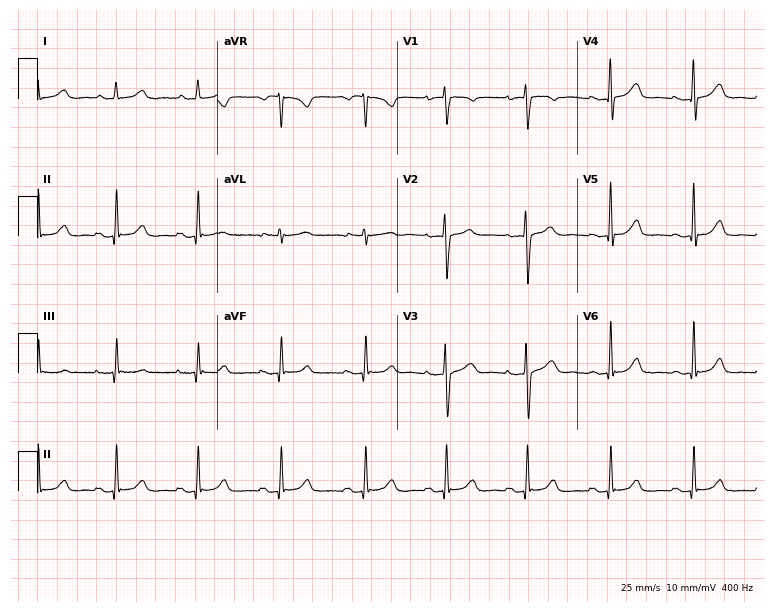
Standard 12-lead ECG recorded from a woman, 52 years old. Read as a normal ECG.